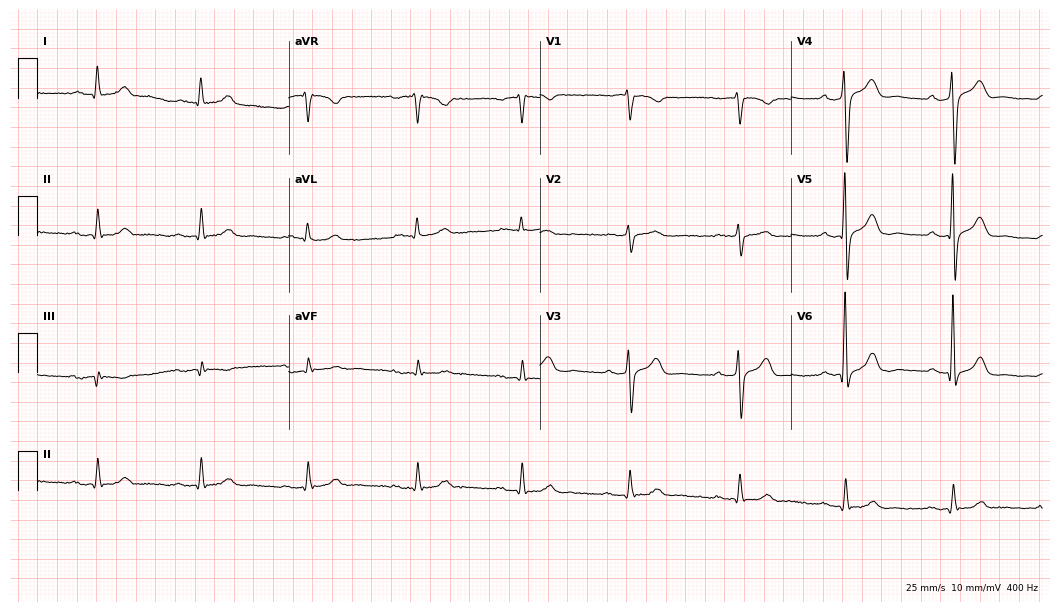
Electrocardiogram, a 79-year-old male. Interpretation includes first-degree AV block.